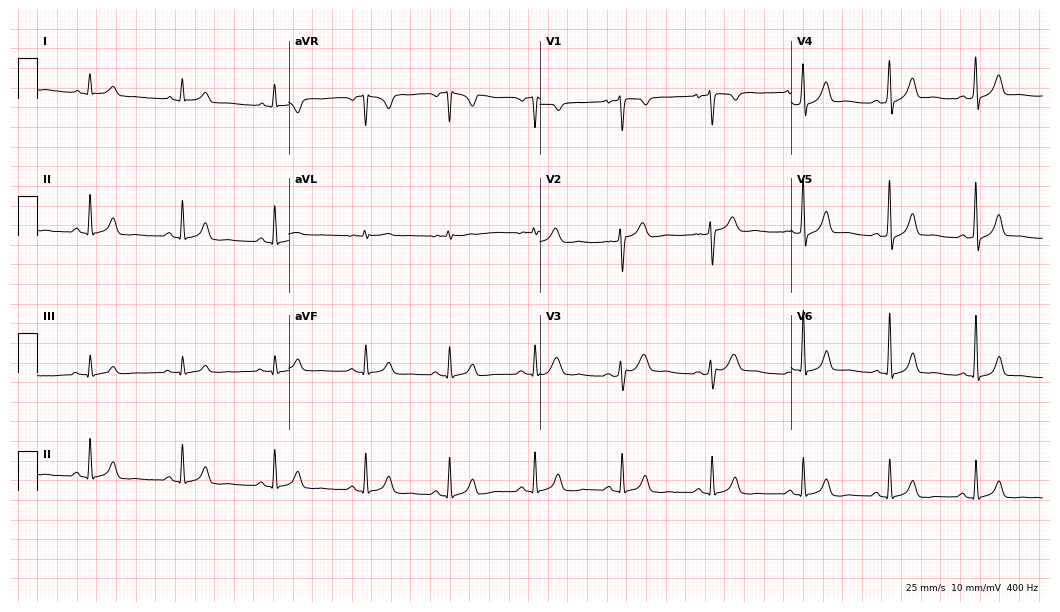
12-lead ECG (10.2-second recording at 400 Hz) from a 29-year-old woman. Labelled as a normal ECG.